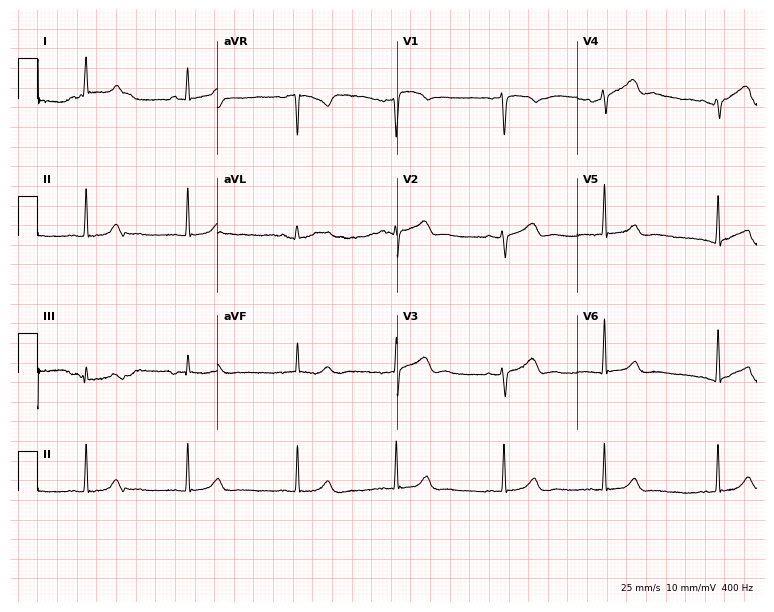
ECG — a 33-year-old female. Labelled as a normal ECG.